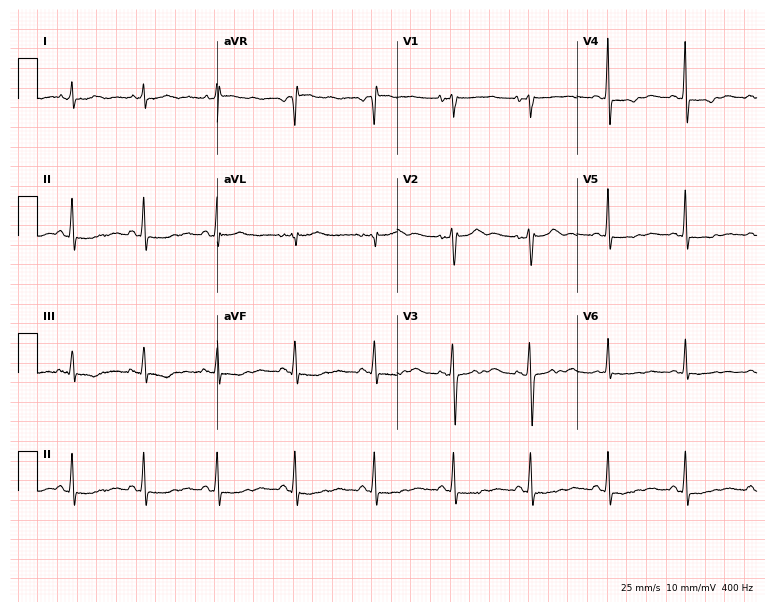
ECG — a female patient, 43 years old. Screened for six findings — first-degree AV block, right bundle branch block, left bundle branch block, sinus bradycardia, atrial fibrillation, sinus tachycardia — none is recorded. Other findings, if any, are not listed.